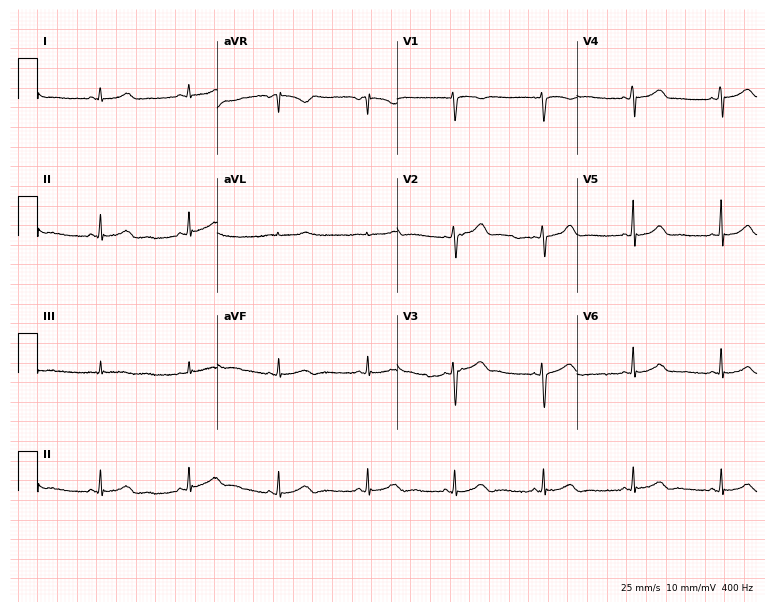
Electrocardiogram (7.3-second recording at 400 Hz), a woman, 29 years old. Overall reading on record: normal ECG.